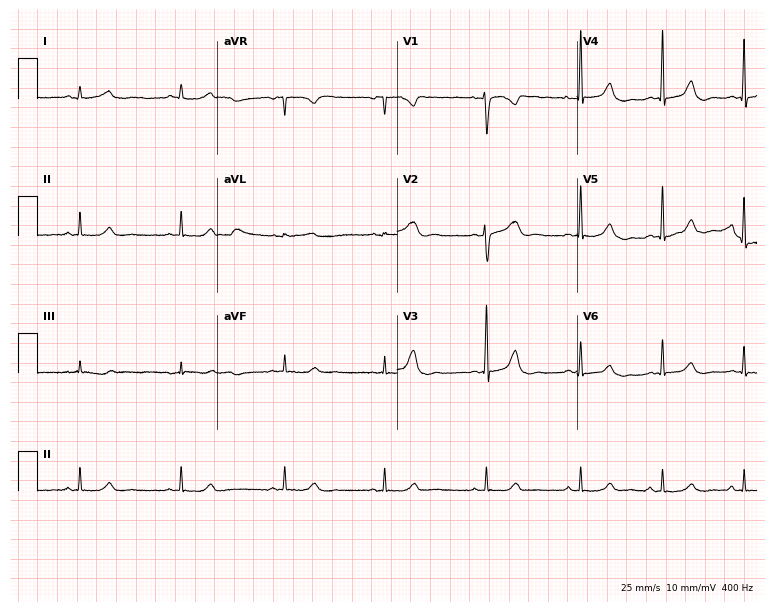
12-lead ECG from a woman, 37 years old. No first-degree AV block, right bundle branch block (RBBB), left bundle branch block (LBBB), sinus bradycardia, atrial fibrillation (AF) or sinus tachycardia recorded for this tracing.